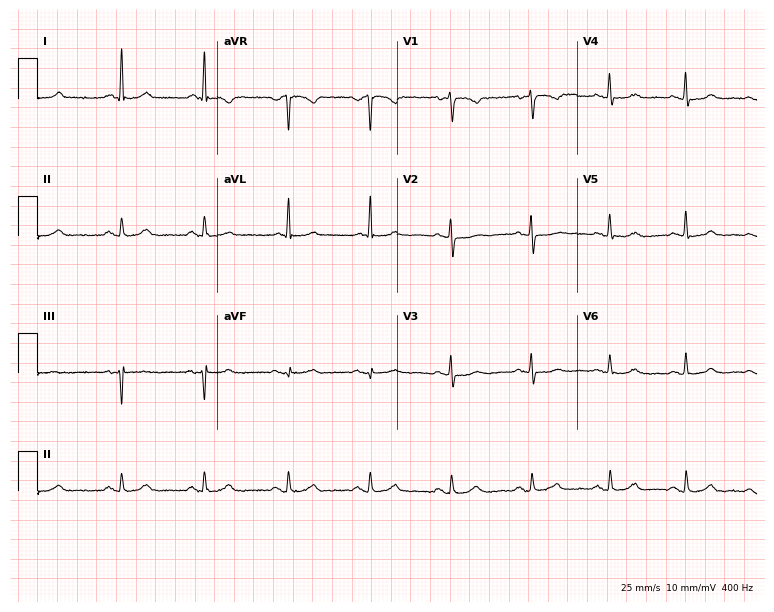
Resting 12-lead electrocardiogram (7.3-second recording at 400 Hz). Patient: a 63-year-old female. None of these six findings is recorded: first-degree AV block, right bundle branch block, left bundle branch block, sinus bradycardia, atrial fibrillation, sinus tachycardia.